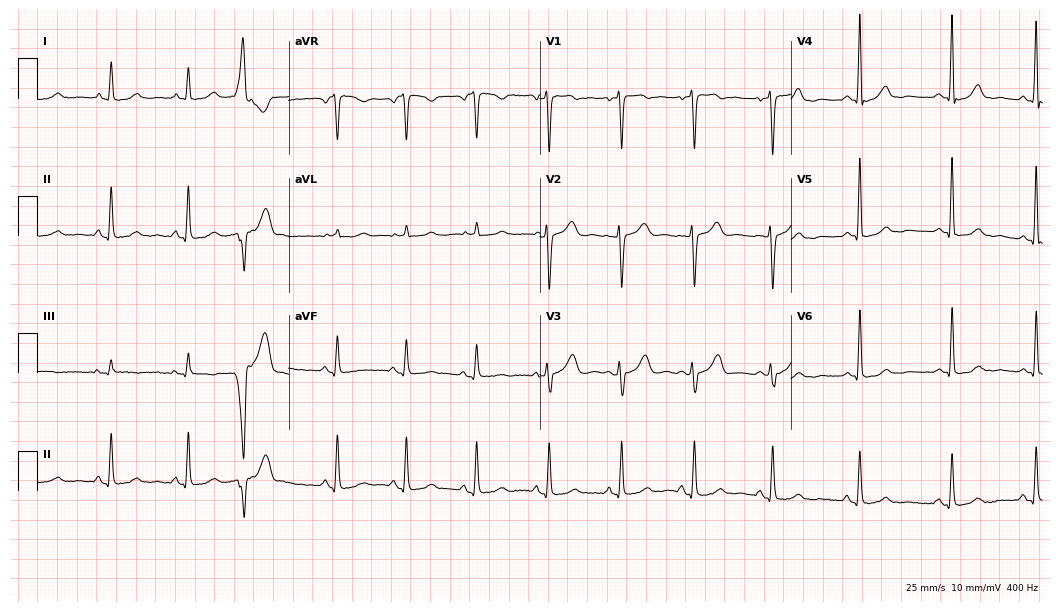
12-lead ECG from a female patient, 45 years old (10.2-second recording at 400 Hz). No first-degree AV block, right bundle branch block, left bundle branch block, sinus bradycardia, atrial fibrillation or sinus tachycardia recorded for this tracing.